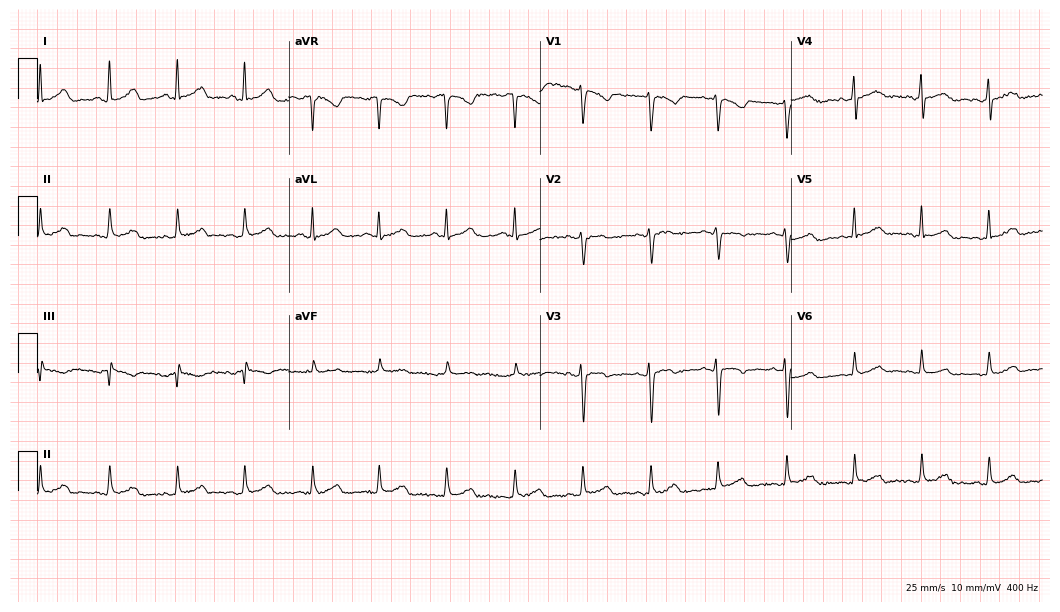
ECG — a 38-year-old woman. Labelled as a normal ECG.